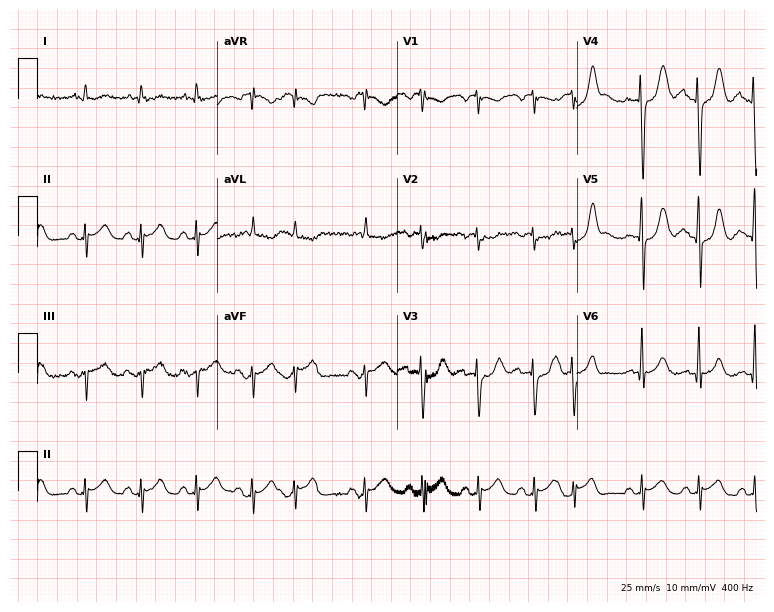
12-lead ECG from a 67-year-old man. Findings include sinus tachycardia (a sinus rate of 100 beats per minute or more).